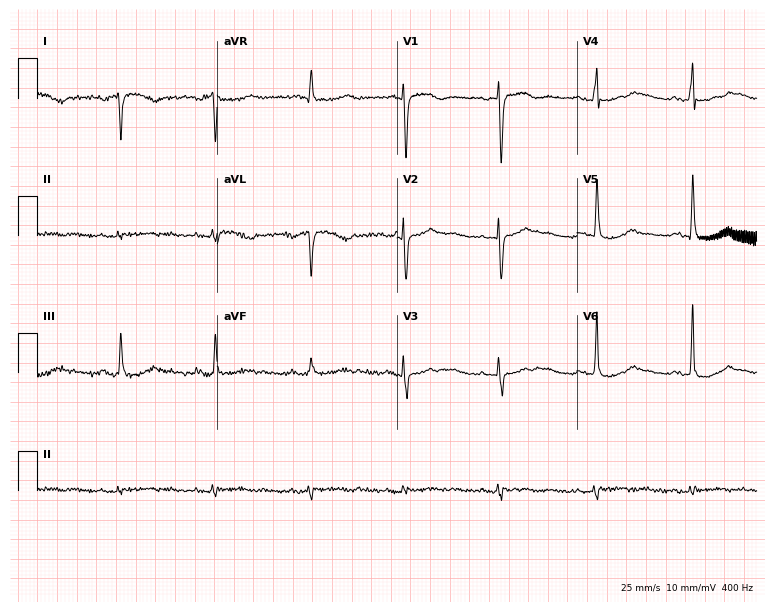
Standard 12-lead ECG recorded from a female patient, 81 years old (7.3-second recording at 400 Hz). None of these six findings is recorded: first-degree AV block, right bundle branch block (RBBB), left bundle branch block (LBBB), sinus bradycardia, atrial fibrillation (AF), sinus tachycardia. Only these six findings were labelled.